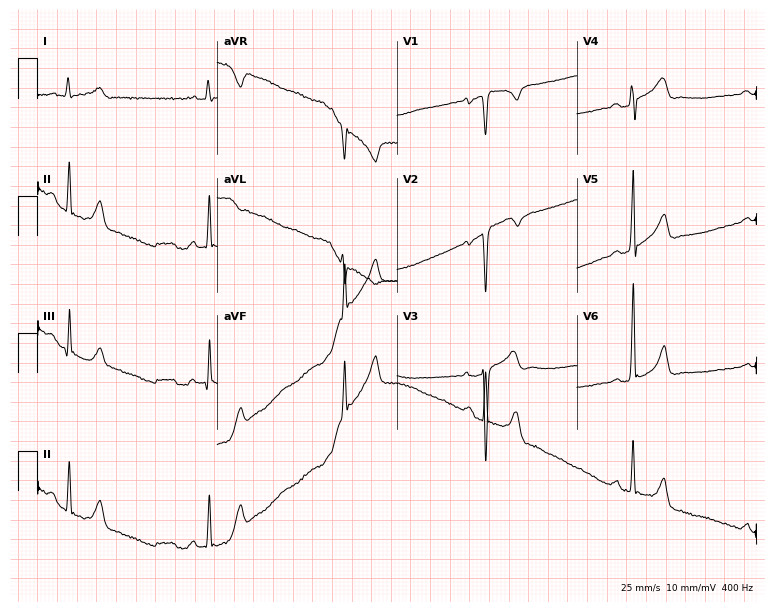
Electrocardiogram (7.3-second recording at 400 Hz), a 37-year-old male patient. Of the six screened findings (first-degree AV block, right bundle branch block, left bundle branch block, sinus bradycardia, atrial fibrillation, sinus tachycardia), none is recorded.